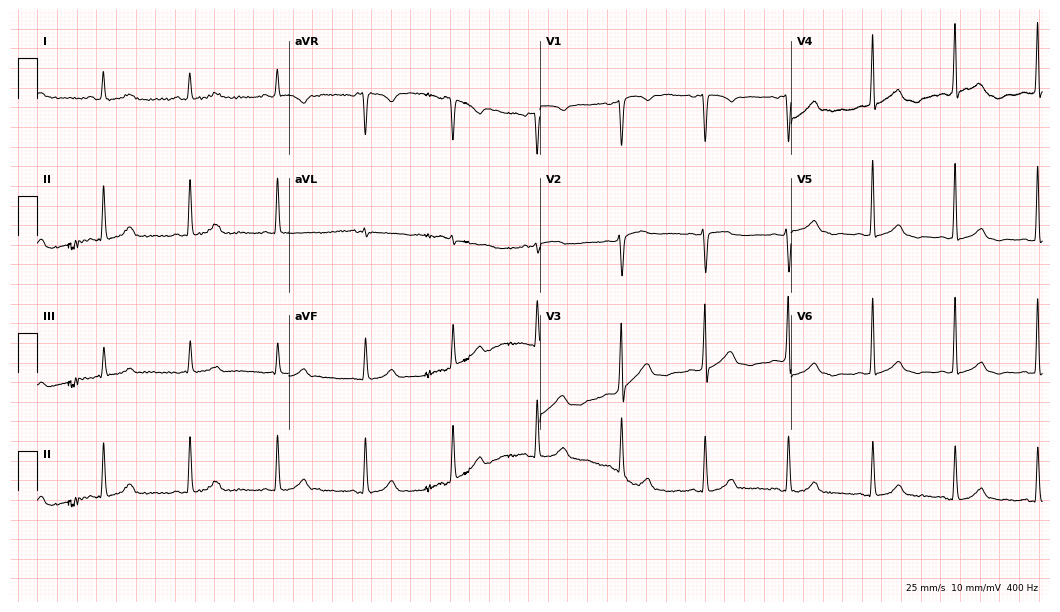
ECG — a female, 71 years old. Labelled as a normal ECG.